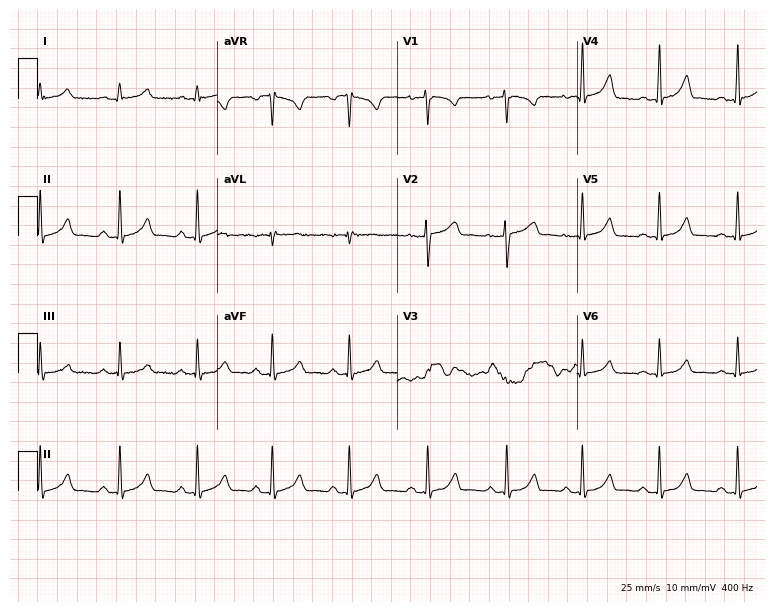
ECG (7.3-second recording at 400 Hz) — a female patient, 25 years old. Labelled as a normal ECG.